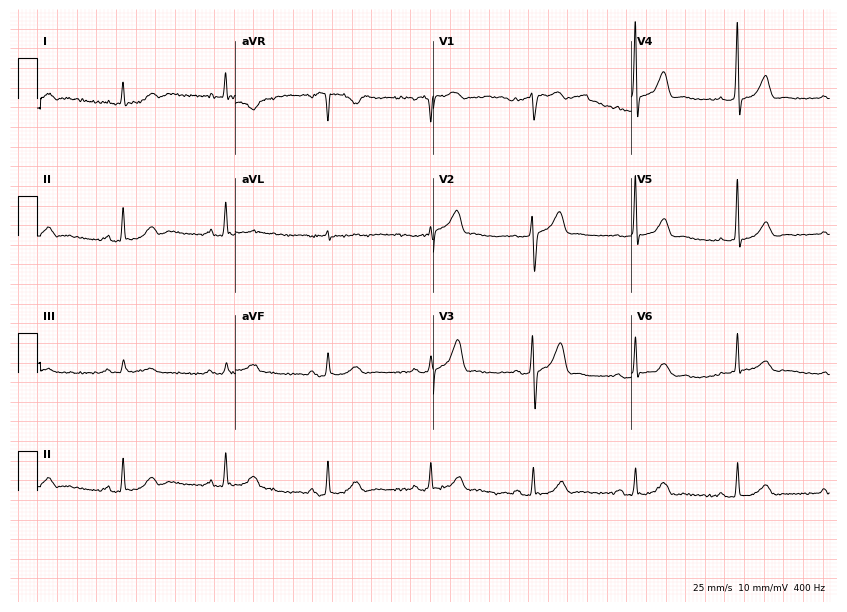
Electrocardiogram (8.1-second recording at 400 Hz), a 75-year-old female. Overall reading on record: normal ECG.